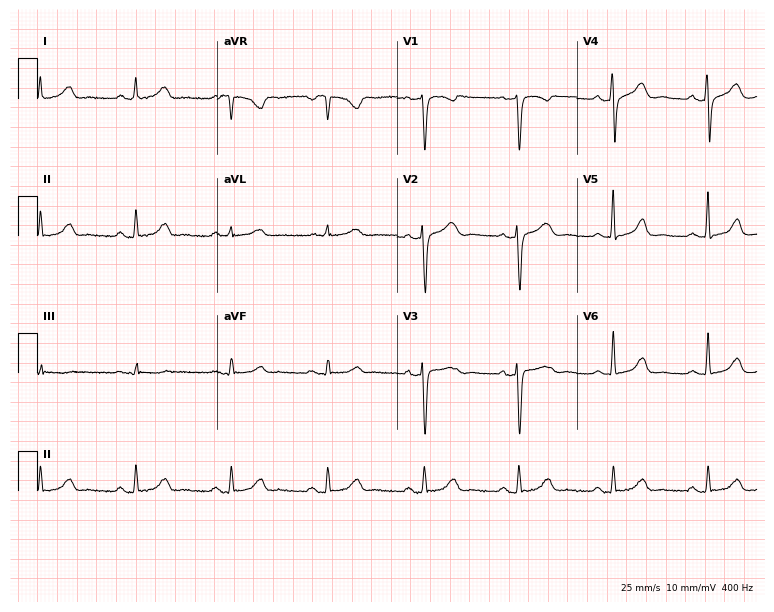
ECG — a 70-year-old female. Labelled as a normal ECG.